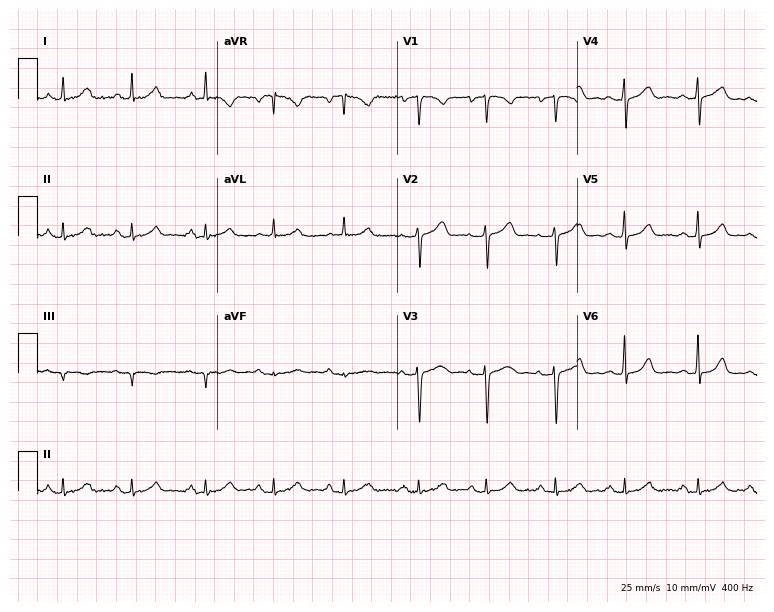
Standard 12-lead ECG recorded from a 43-year-old female (7.3-second recording at 400 Hz). Read as a normal ECG.